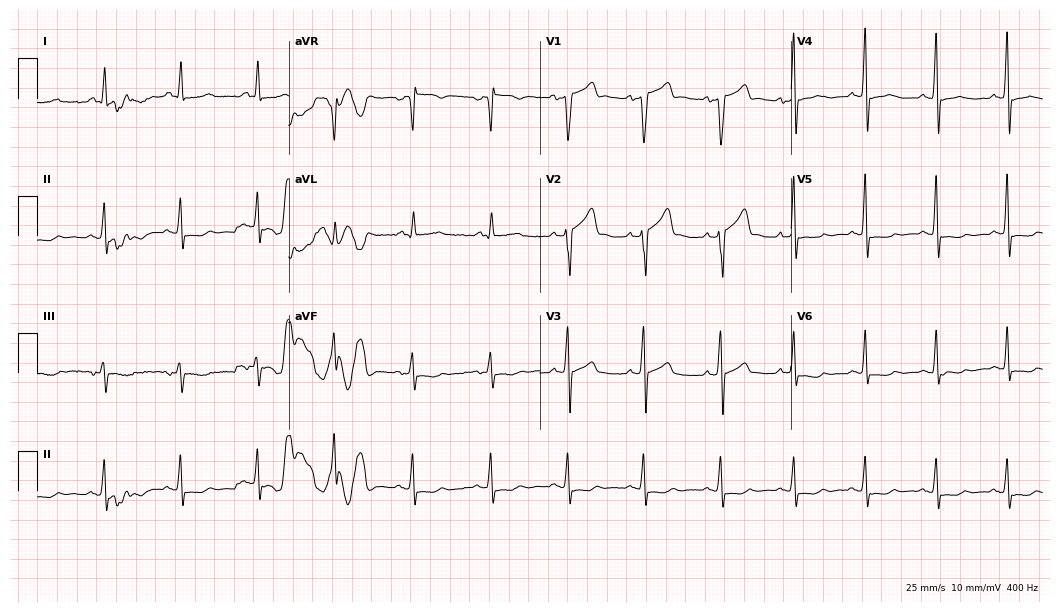
Standard 12-lead ECG recorded from a male patient, 73 years old (10.2-second recording at 400 Hz). None of these six findings is recorded: first-degree AV block, right bundle branch block, left bundle branch block, sinus bradycardia, atrial fibrillation, sinus tachycardia.